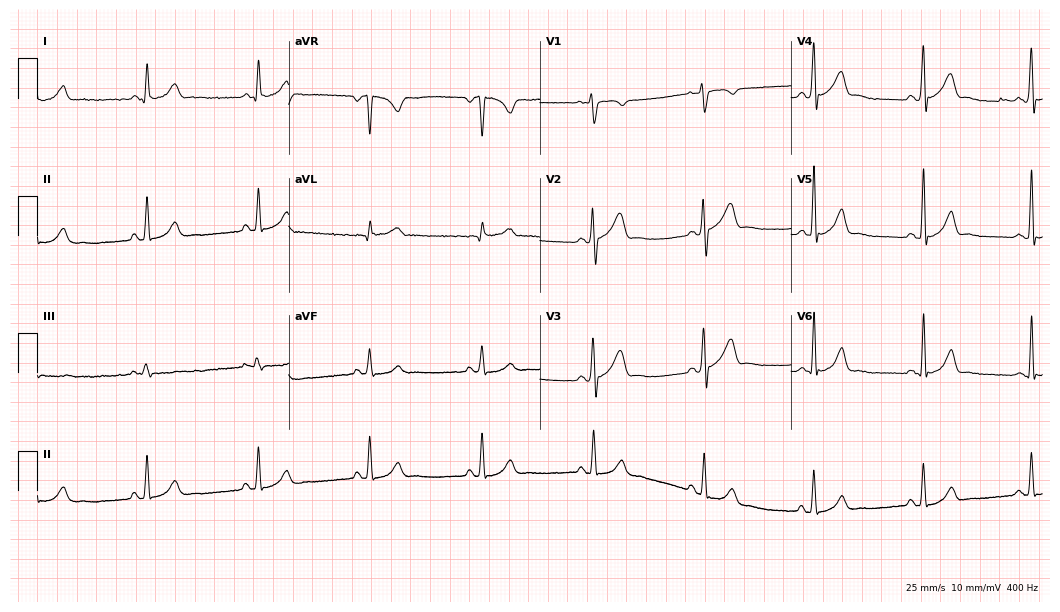
ECG (10.2-second recording at 400 Hz) — a male patient, 32 years old. Labelled as a normal ECG.